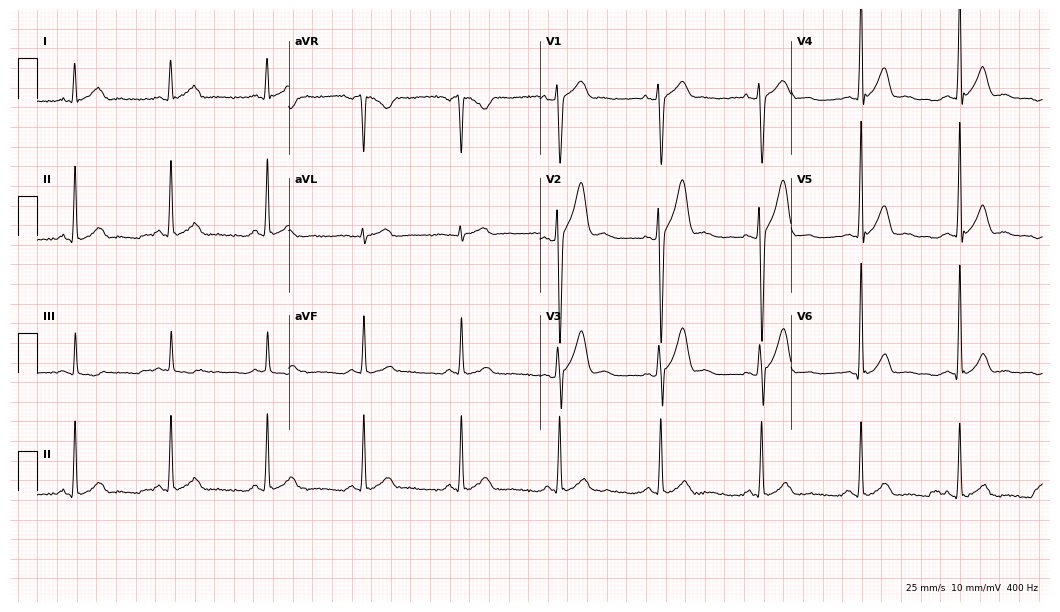
ECG (10.2-second recording at 400 Hz) — a 27-year-old man. Labelled as a normal ECG.